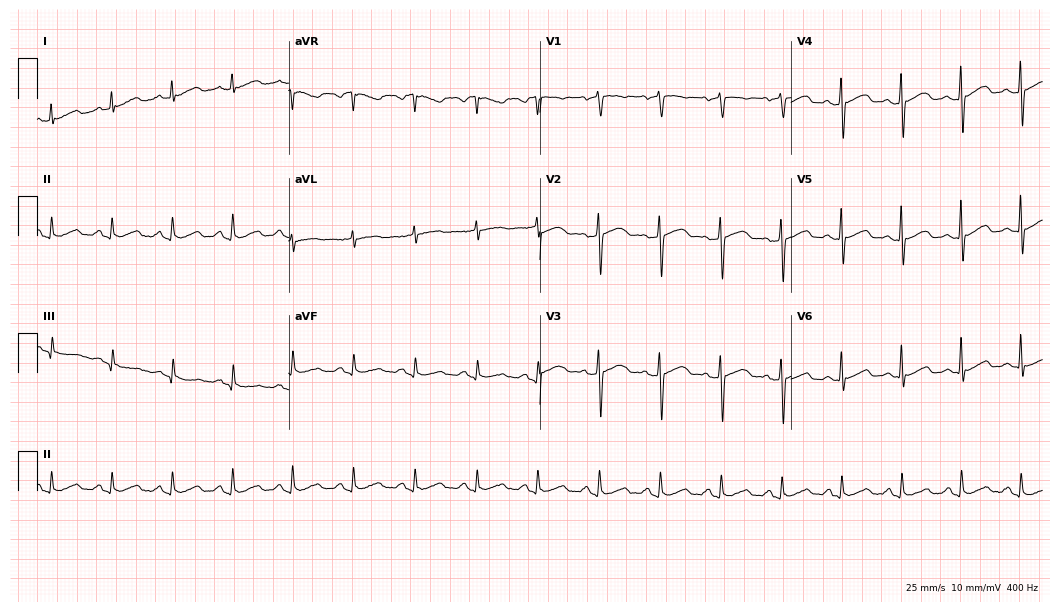
12-lead ECG from a 56-year-old female. Recorded interpretation: within normal limits.